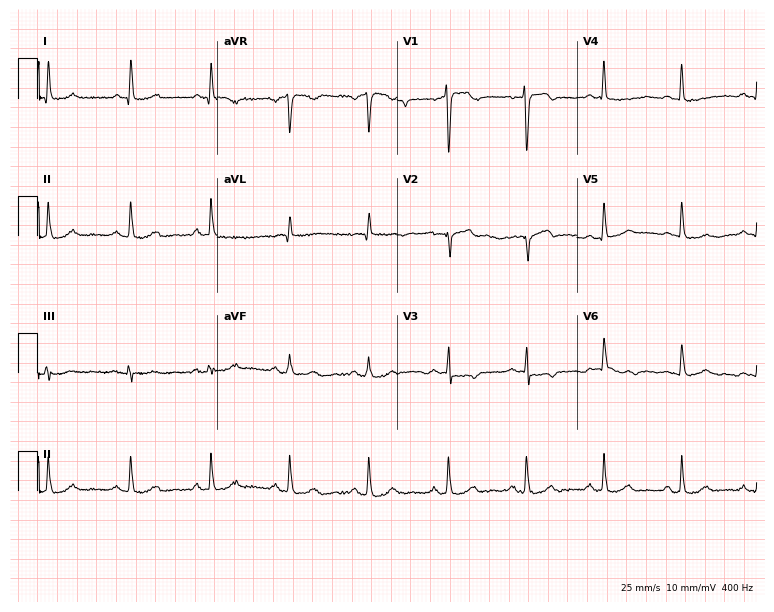
12-lead ECG from a 57-year-old man. No first-degree AV block, right bundle branch block, left bundle branch block, sinus bradycardia, atrial fibrillation or sinus tachycardia recorded for this tracing. Findings outside these six are not listed.